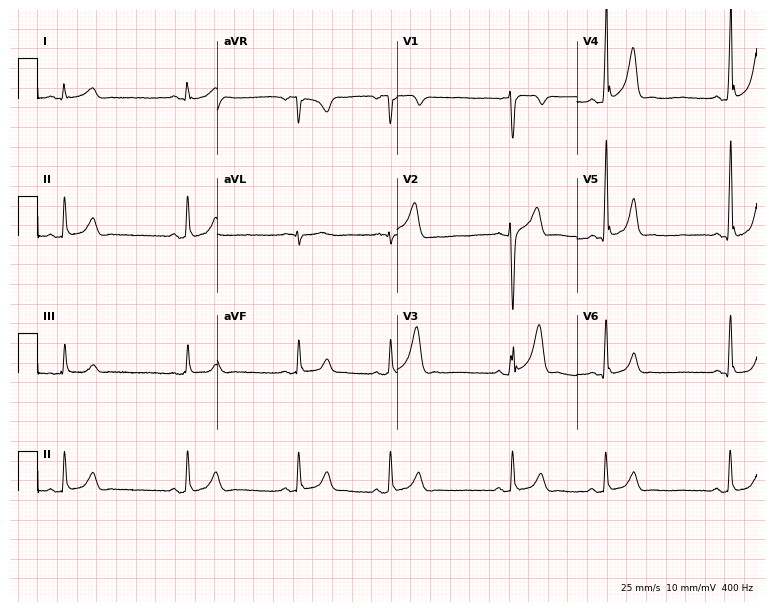
Electrocardiogram (7.3-second recording at 400 Hz), a man, 28 years old. Overall reading on record: normal ECG.